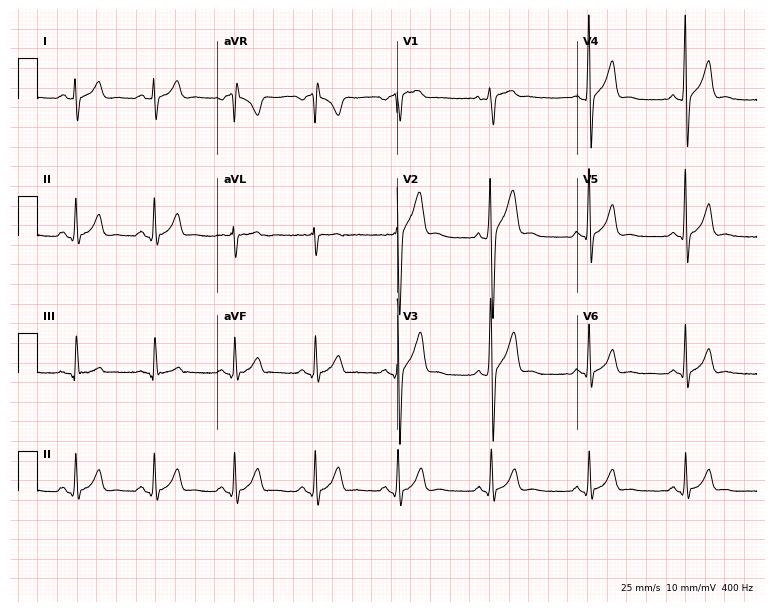
Electrocardiogram (7.3-second recording at 400 Hz), a 24-year-old man. Overall reading on record: normal ECG.